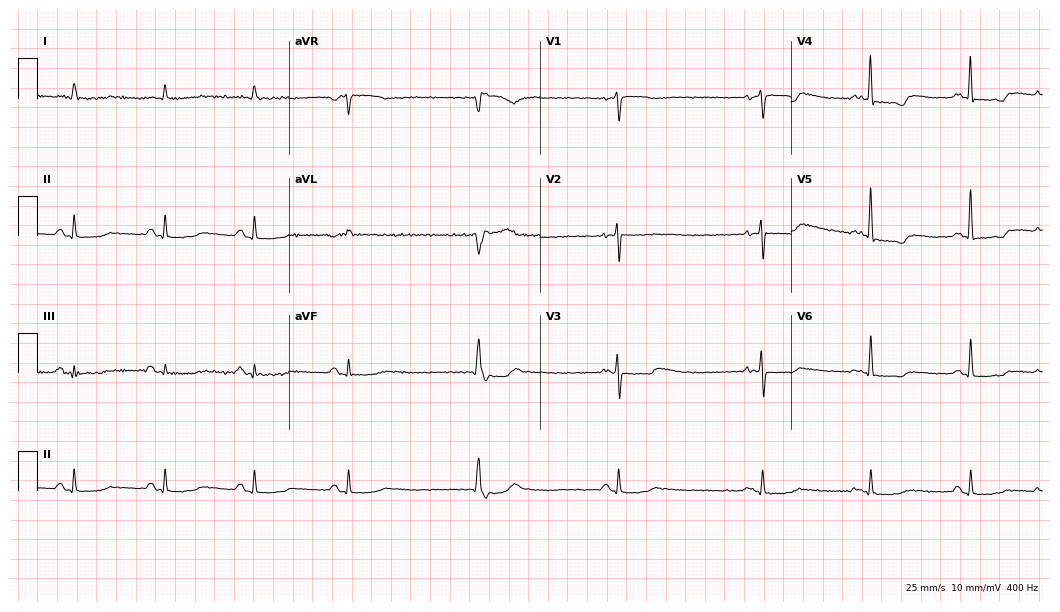
12-lead ECG from an 81-year-old man. No first-degree AV block, right bundle branch block, left bundle branch block, sinus bradycardia, atrial fibrillation or sinus tachycardia recorded for this tracing. Findings outside these six are not listed.